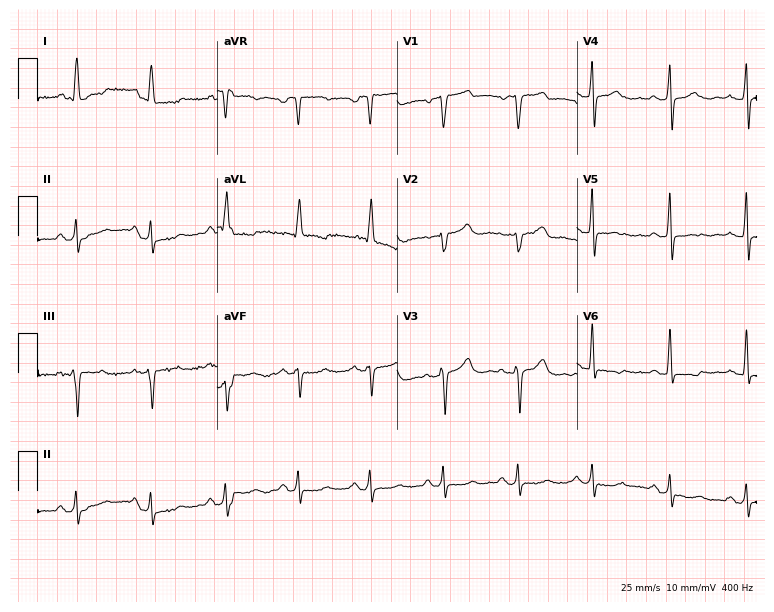
ECG (7.3-second recording at 400 Hz) — a 54-year-old female. Screened for six findings — first-degree AV block, right bundle branch block, left bundle branch block, sinus bradycardia, atrial fibrillation, sinus tachycardia — none is recorded. Other findings, if any, are not listed.